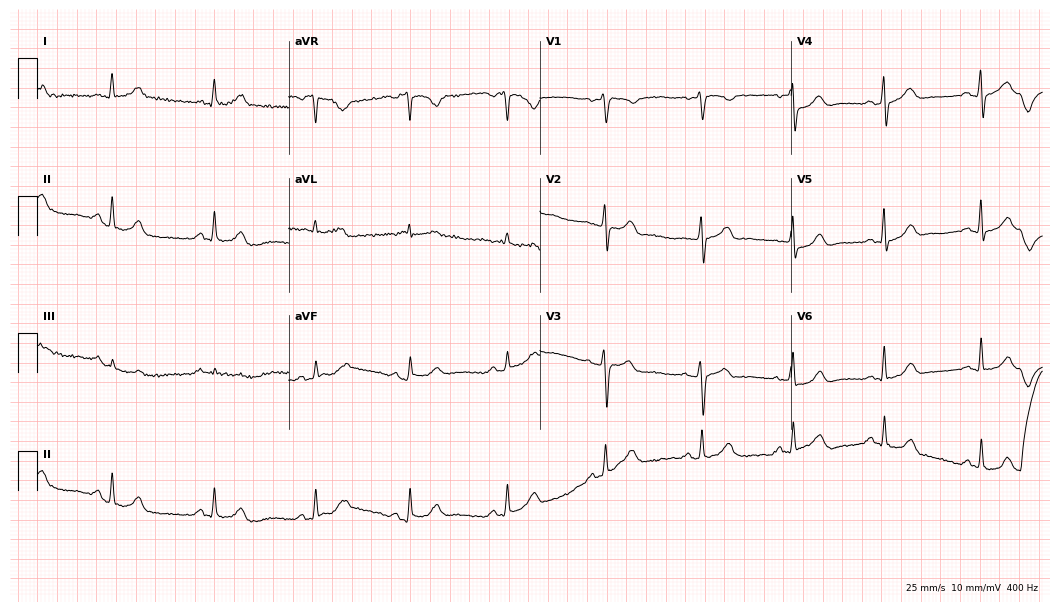
12-lead ECG from a 54-year-old female. Recorded interpretation: within normal limits.